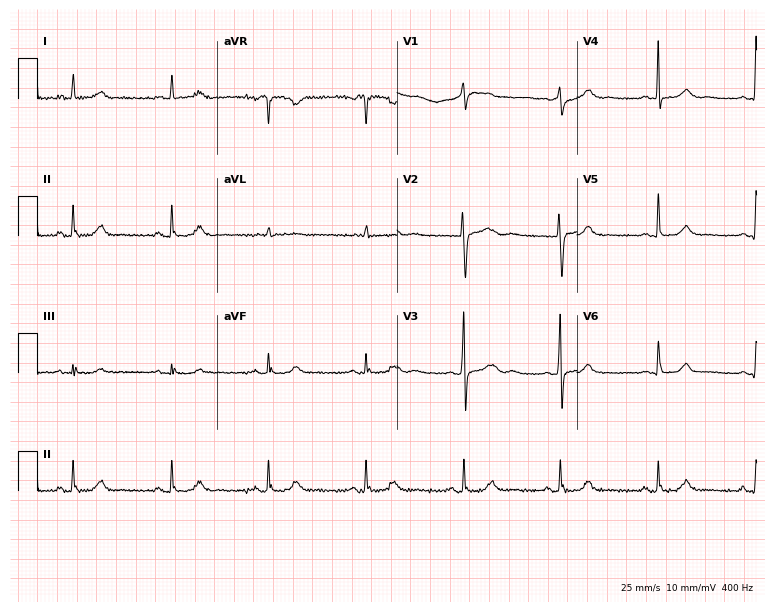
ECG — a male, 53 years old. Labelled as a normal ECG.